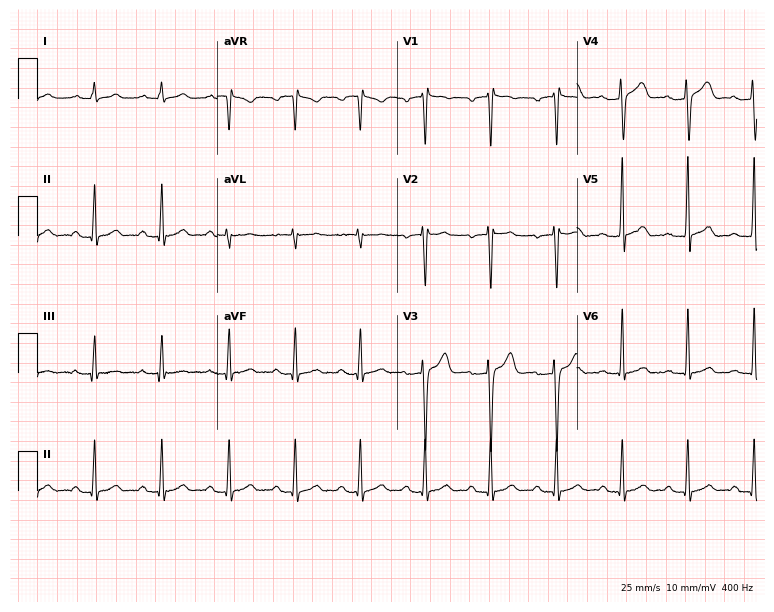
12-lead ECG from a man, 32 years old (7.3-second recording at 400 Hz). Recorded interpretation: within normal limits.